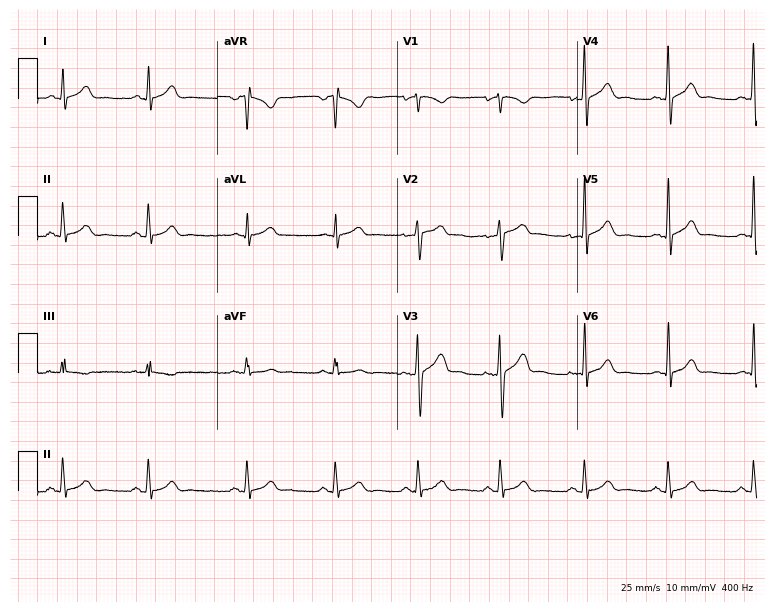
12-lead ECG from a man, 37 years old. Recorded interpretation: within normal limits.